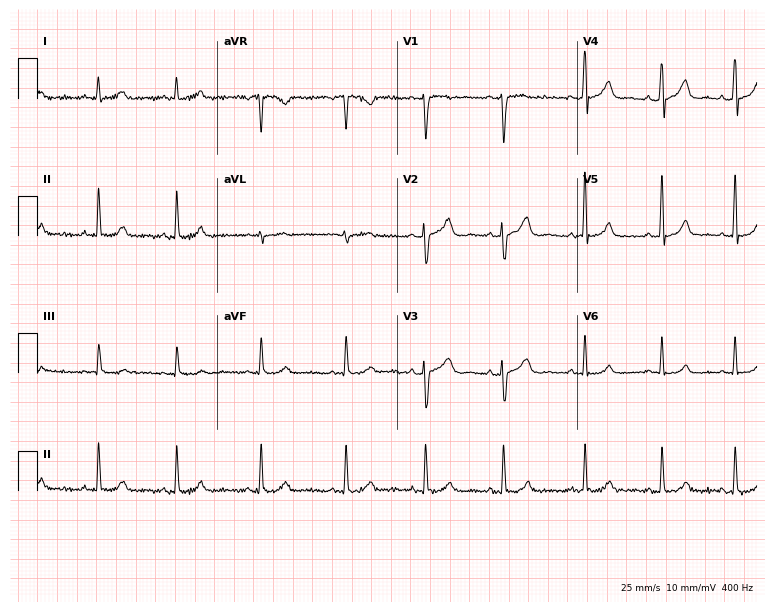
Standard 12-lead ECG recorded from a female, 36 years old. Read as a normal ECG.